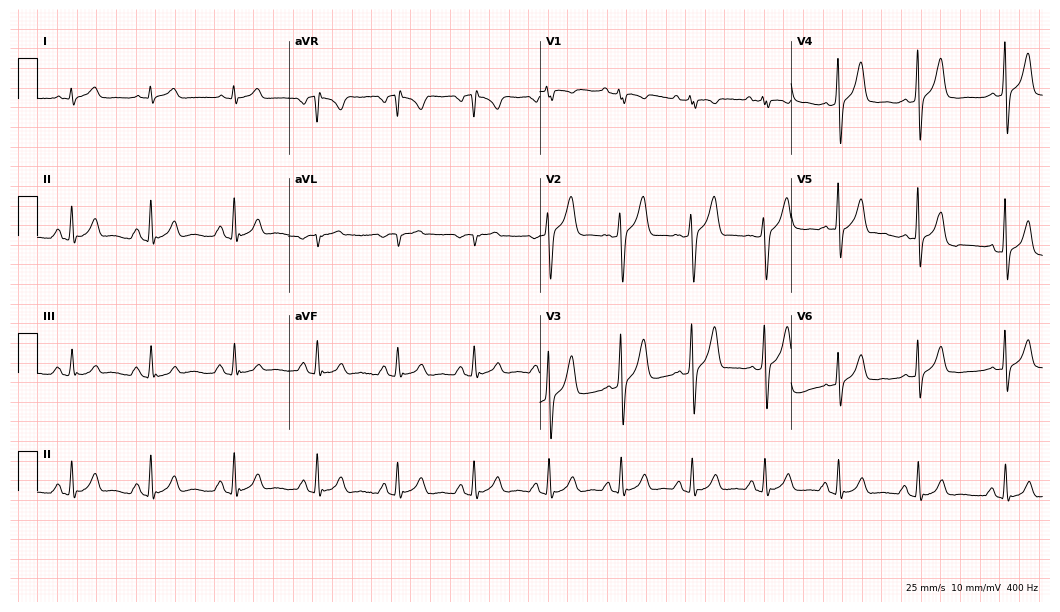
12-lead ECG from a 51-year-old man (10.2-second recording at 400 Hz). Recorded interpretation: within normal limits.